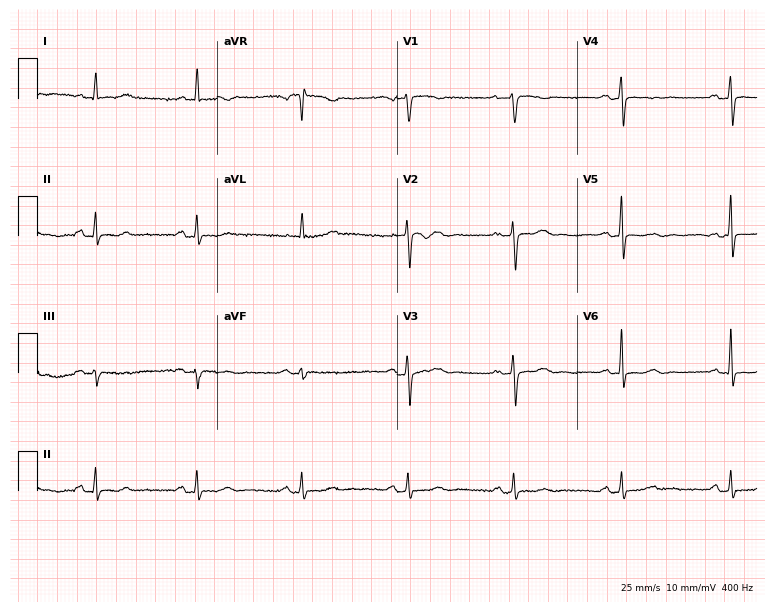
12-lead ECG from a woman, 83 years old (7.3-second recording at 400 Hz). No first-degree AV block, right bundle branch block, left bundle branch block, sinus bradycardia, atrial fibrillation or sinus tachycardia recorded for this tracing. Other findings, if any, are not listed.